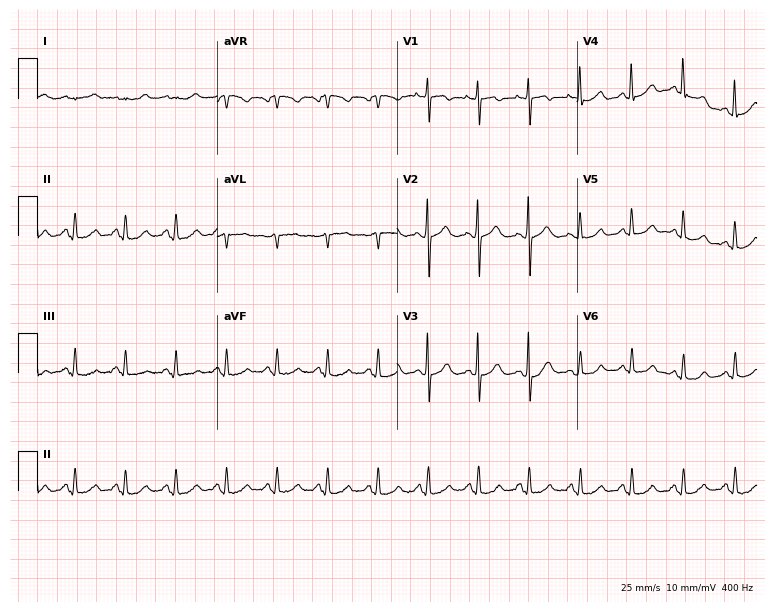
Electrocardiogram, a female patient, 53 years old. Interpretation includes sinus tachycardia (a sinus rate of 100 beats per minute or more).